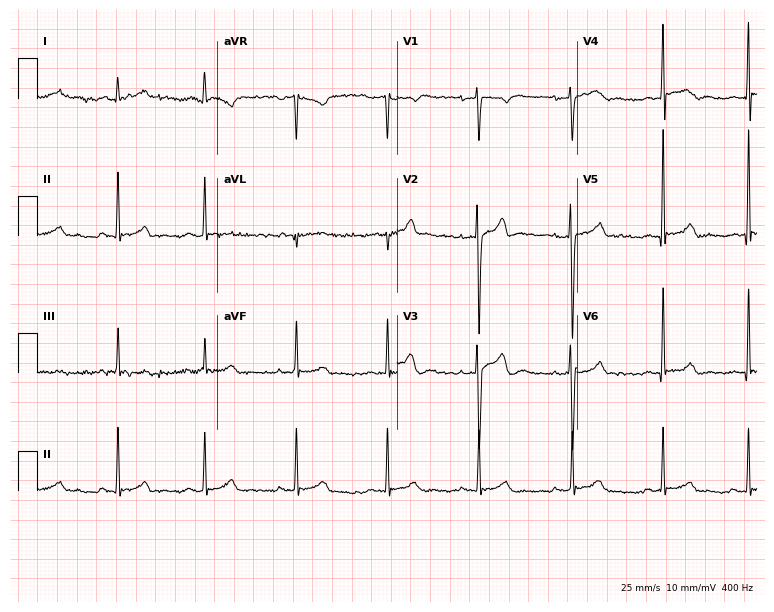
12-lead ECG from a man, 31 years old. Screened for six findings — first-degree AV block, right bundle branch block, left bundle branch block, sinus bradycardia, atrial fibrillation, sinus tachycardia — none is recorded.